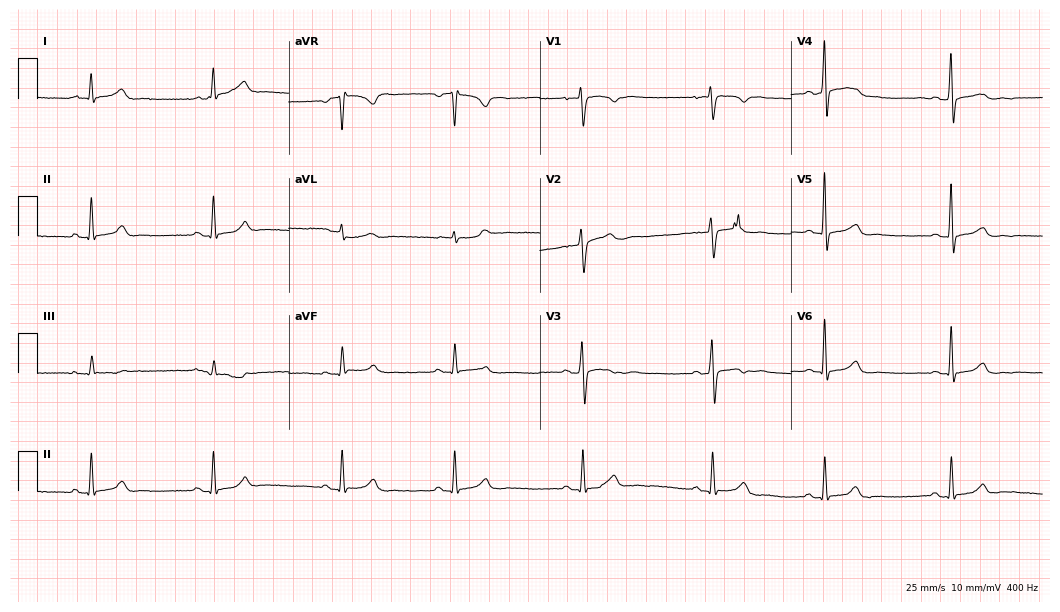
12-lead ECG from a 41-year-old female. Shows sinus bradycardia (a sinus rate of 50 beats per minute or less).